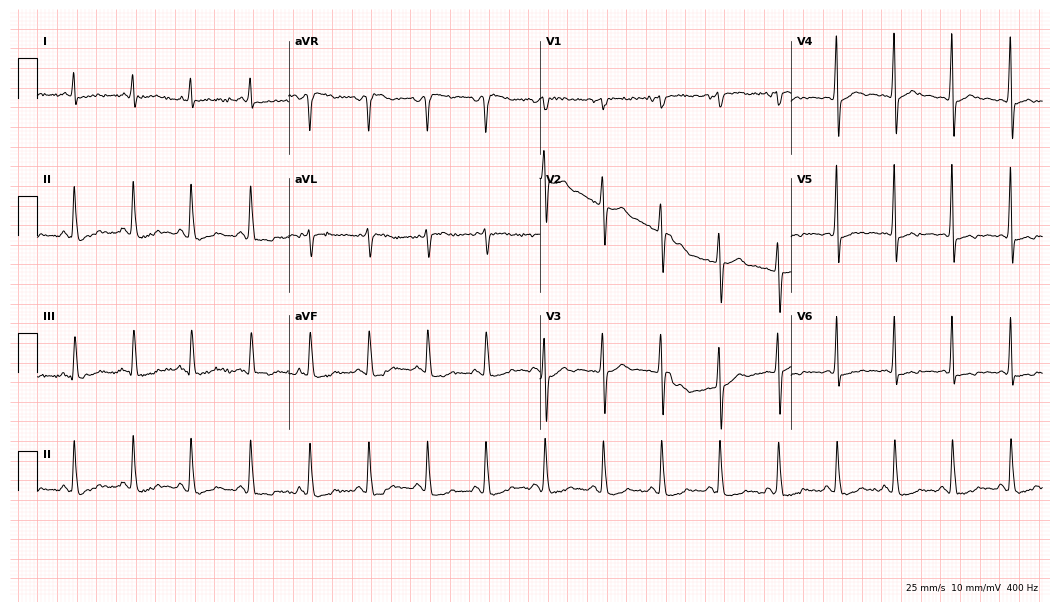
12-lead ECG from a 73-year-old woman (10.2-second recording at 400 Hz). No first-degree AV block, right bundle branch block (RBBB), left bundle branch block (LBBB), sinus bradycardia, atrial fibrillation (AF) or sinus tachycardia recorded for this tracing. Only these six findings were labelled.